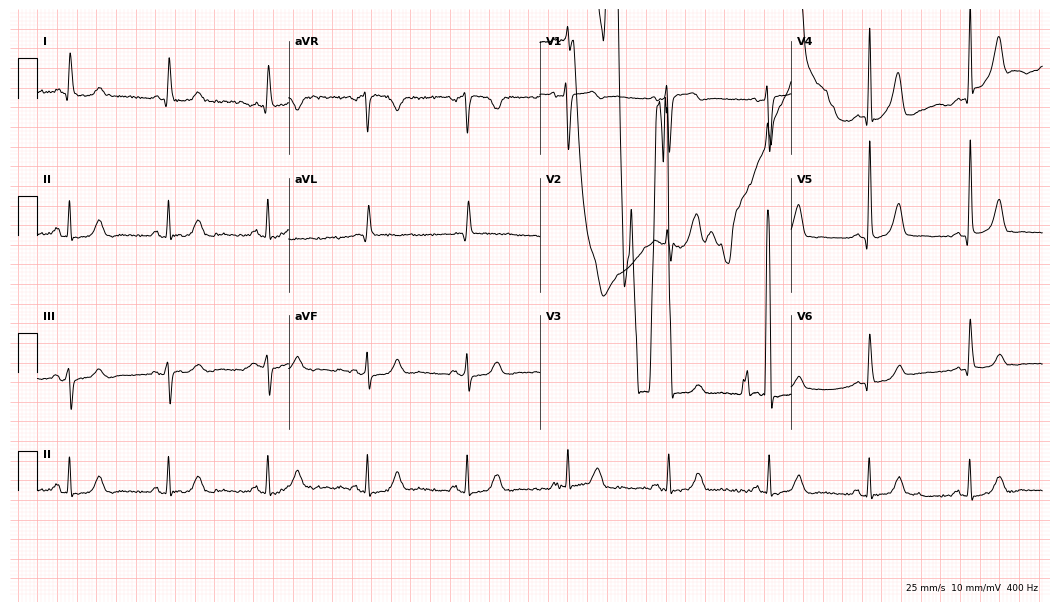
12-lead ECG from a woman, 69 years old. No first-degree AV block, right bundle branch block, left bundle branch block, sinus bradycardia, atrial fibrillation or sinus tachycardia recorded for this tracing. Findings outside these six are not listed.